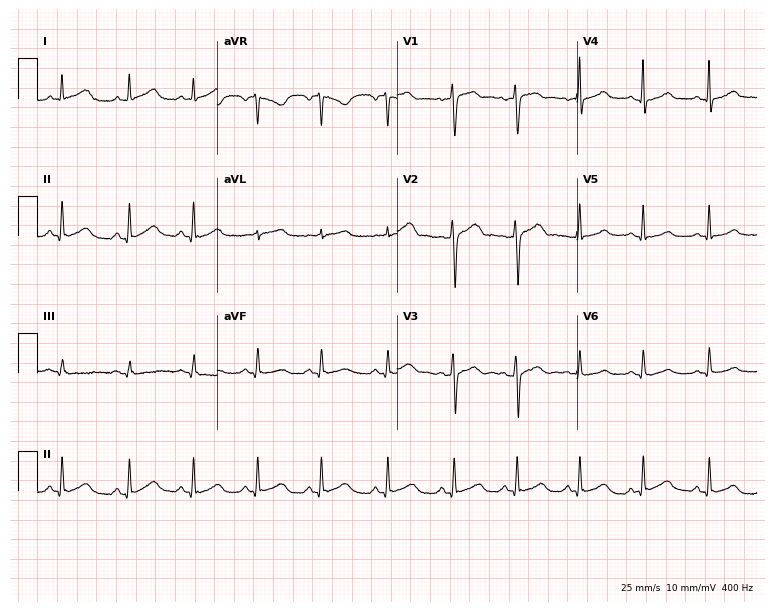
Standard 12-lead ECG recorded from a 44-year-old female (7.3-second recording at 400 Hz). Read as a normal ECG.